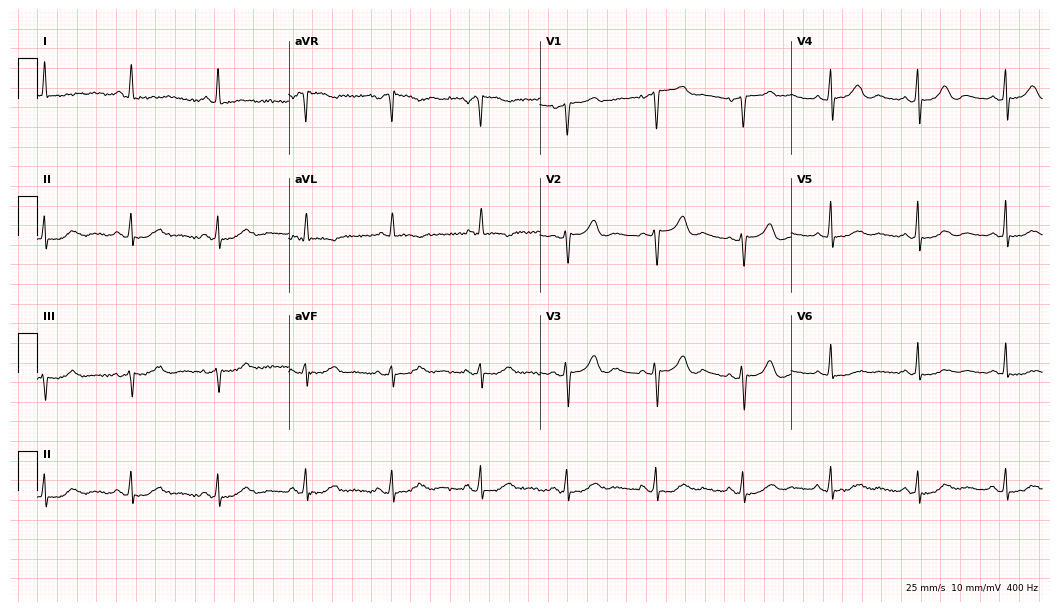
ECG (10.2-second recording at 400 Hz) — a woman, 63 years old. Labelled as a normal ECG.